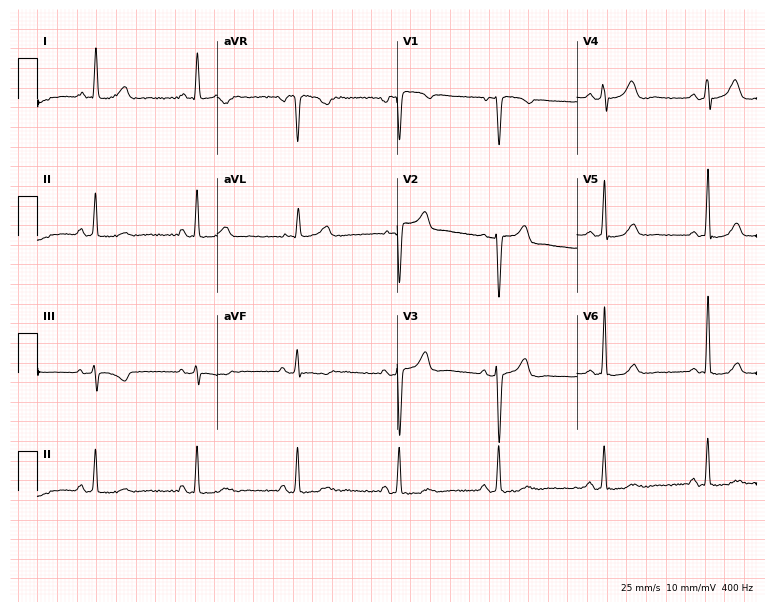
Standard 12-lead ECG recorded from a 46-year-old female. None of these six findings is recorded: first-degree AV block, right bundle branch block, left bundle branch block, sinus bradycardia, atrial fibrillation, sinus tachycardia. Only these six findings were labelled.